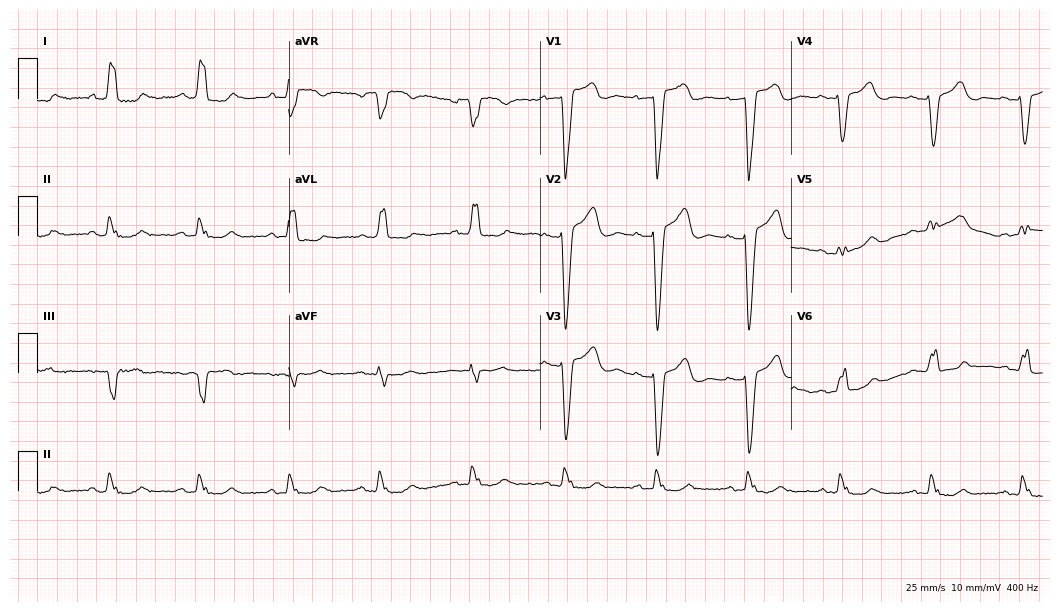
ECG — a 52-year-old female patient. Findings include left bundle branch block.